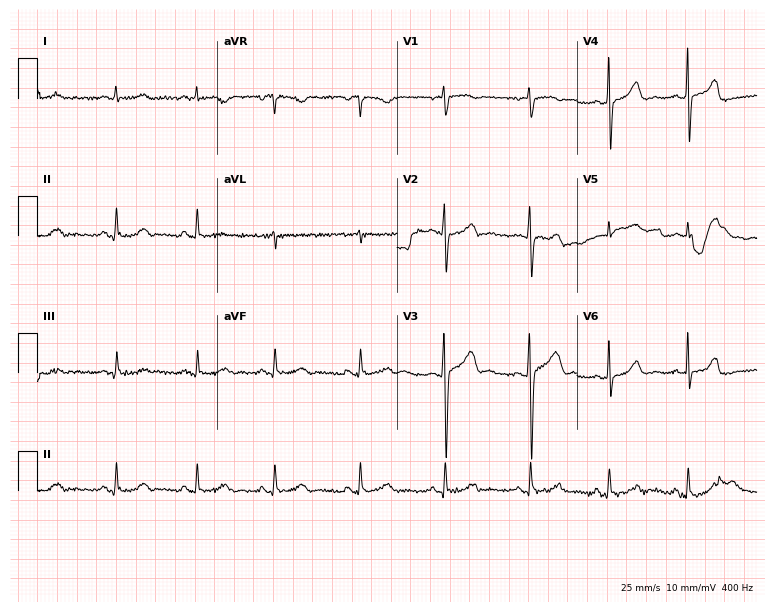
Standard 12-lead ECG recorded from a female, 23 years old (7.3-second recording at 400 Hz). Read as a normal ECG.